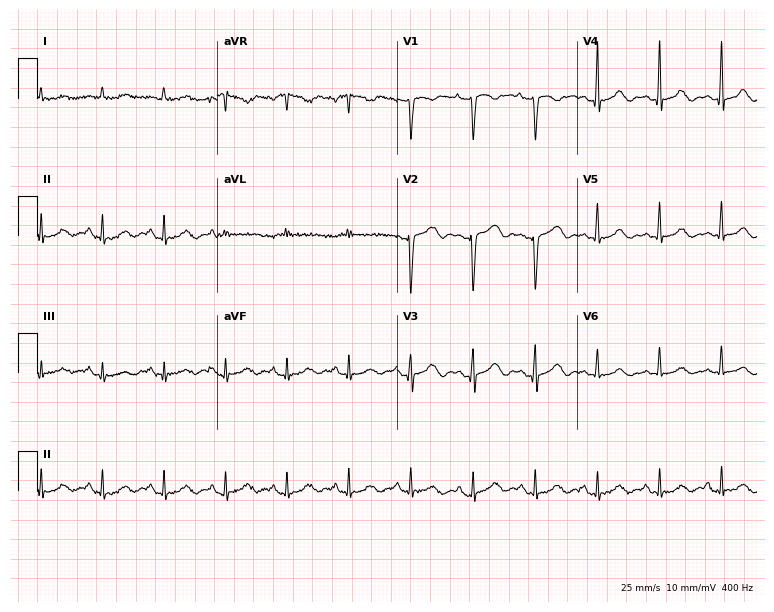
ECG (7.3-second recording at 400 Hz) — a 61-year-old female. Labelled as a normal ECG.